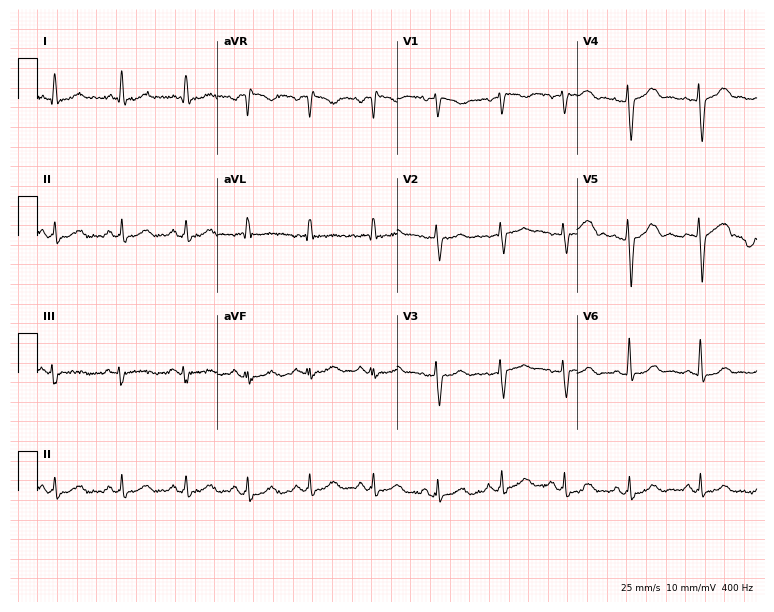
12-lead ECG (7.3-second recording at 400 Hz) from a 40-year-old female patient. Labelled as a normal ECG.